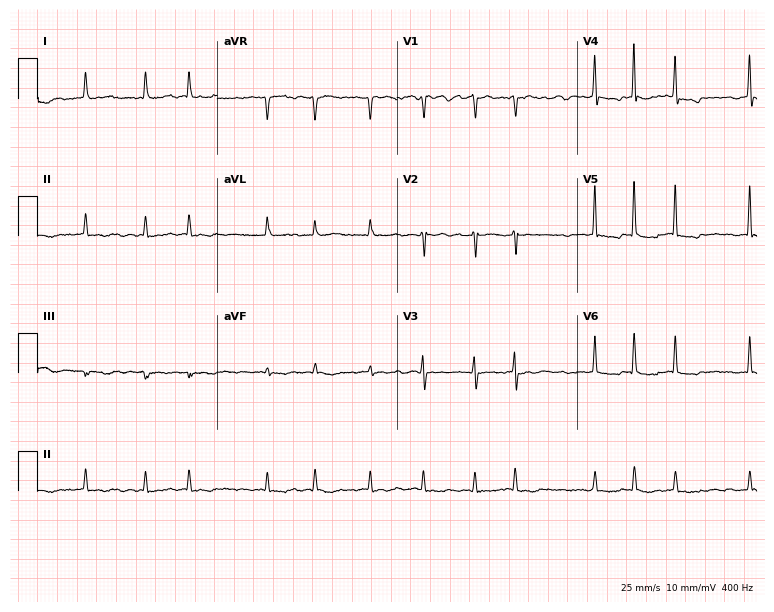
Standard 12-lead ECG recorded from a 76-year-old woman. The tracing shows atrial fibrillation (AF).